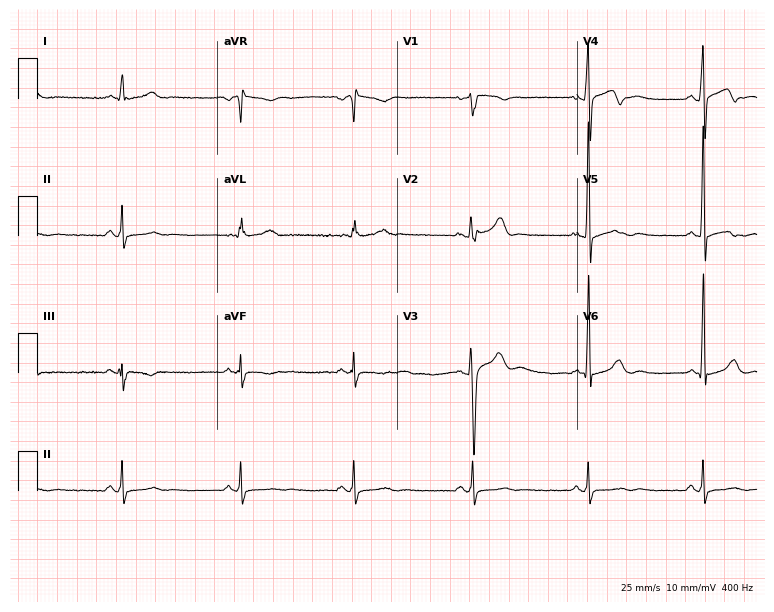
12-lead ECG from a 50-year-old male patient (7.3-second recording at 400 Hz). No first-degree AV block, right bundle branch block, left bundle branch block, sinus bradycardia, atrial fibrillation or sinus tachycardia recorded for this tracing. Only these six findings were labelled.